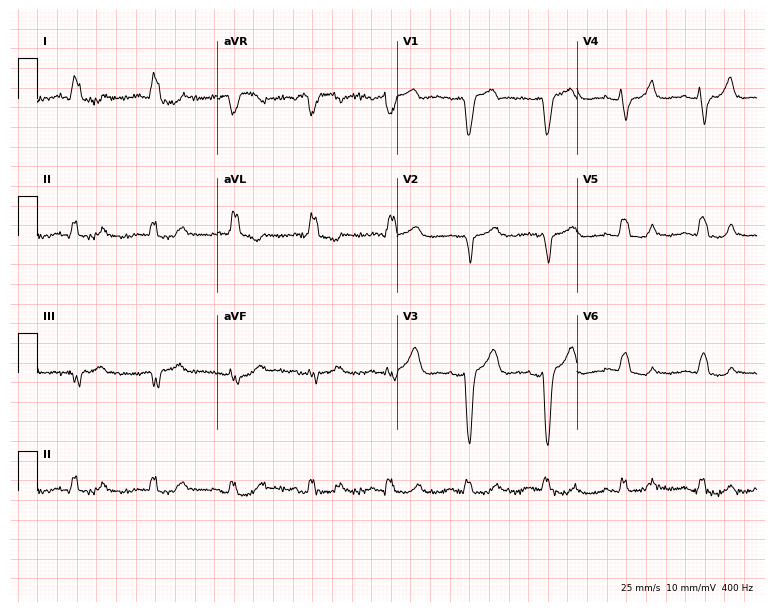
ECG — a woman, 81 years old. Findings include left bundle branch block (LBBB).